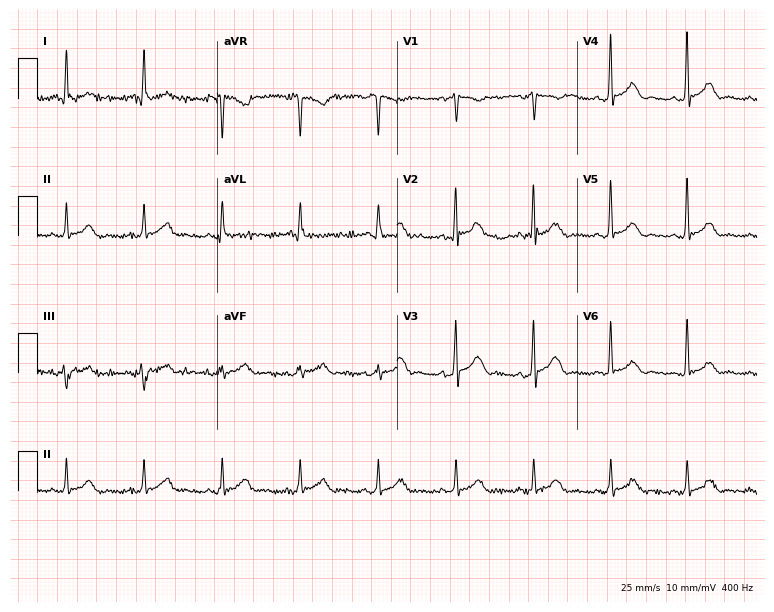
Standard 12-lead ECG recorded from a male, 72 years old (7.3-second recording at 400 Hz). None of these six findings is recorded: first-degree AV block, right bundle branch block, left bundle branch block, sinus bradycardia, atrial fibrillation, sinus tachycardia.